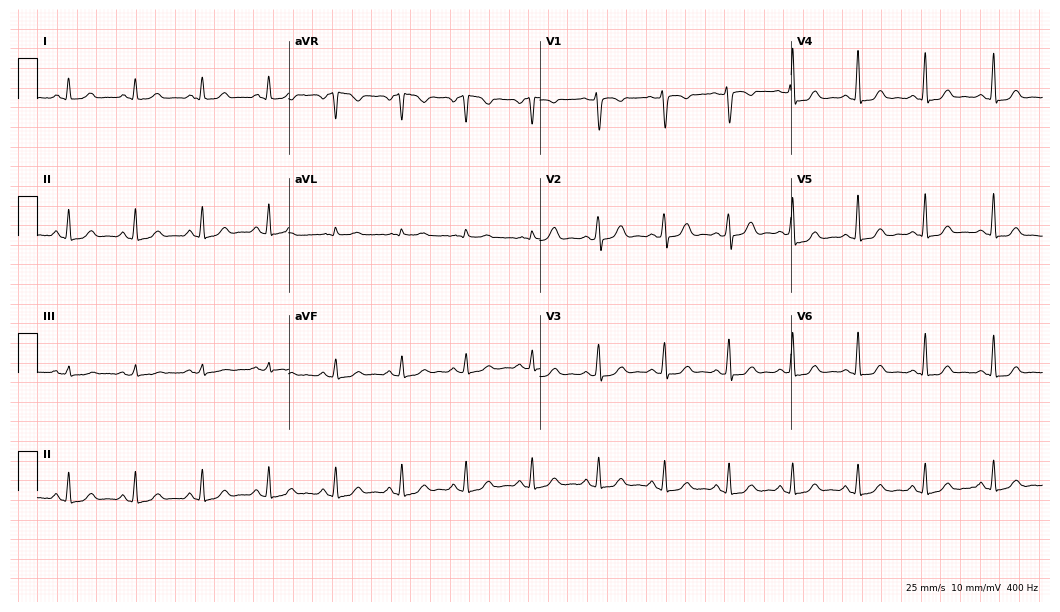
12-lead ECG from a 55-year-old woman. Labelled as a normal ECG.